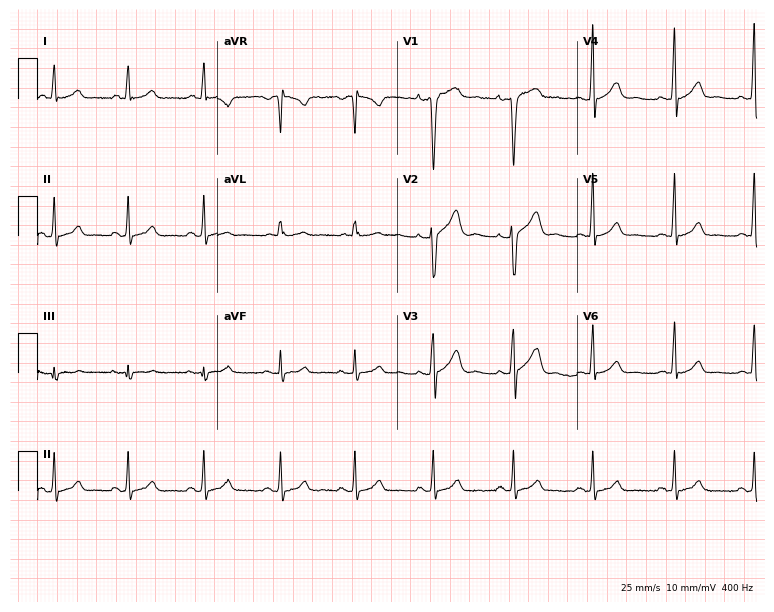
Standard 12-lead ECG recorded from a 41-year-old male patient (7.3-second recording at 400 Hz). None of these six findings is recorded: first-degree AV block, right bundle branch block, left bundle branch block, sinus bradycardia, atrial fibrillation, sinus tachycardia.